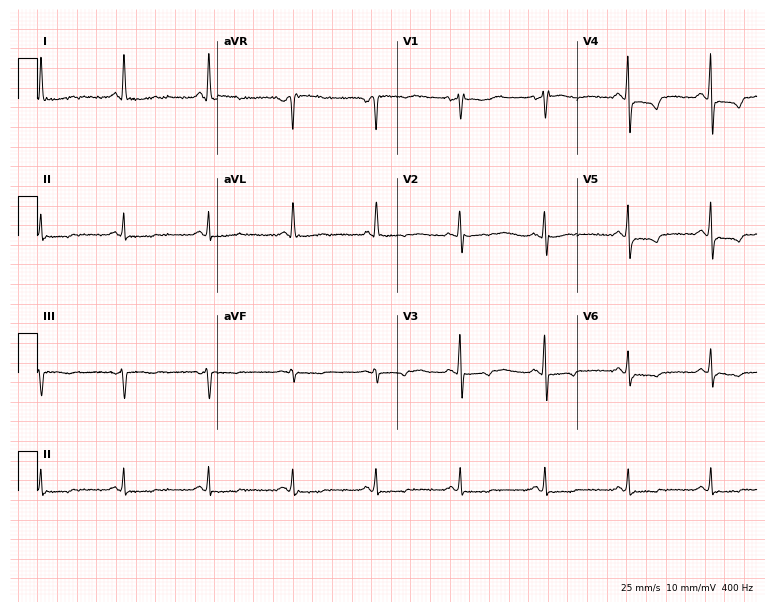
Electrocardiogram, a 61-year-old woman. Of the six screened findings (first-degree AV block, right bundle branch block, left bundle branch block, sinus bradycardia, atrial fibrillation, sinus tachycardia), none is recorded. Only these six findings were labelled.